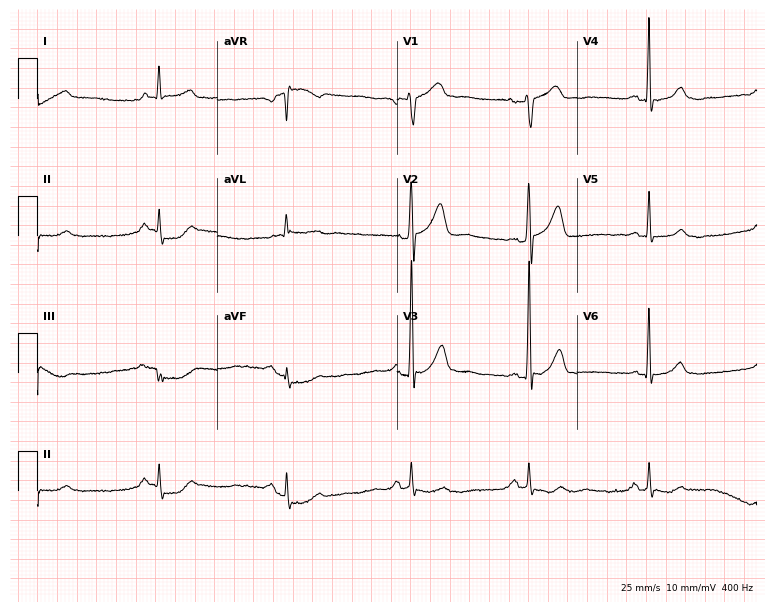
Electrocardiogram, a 64-year-old male patient. Interpretation includes sinus bradycardia (a sinus rate of 50 beats per minute or less).